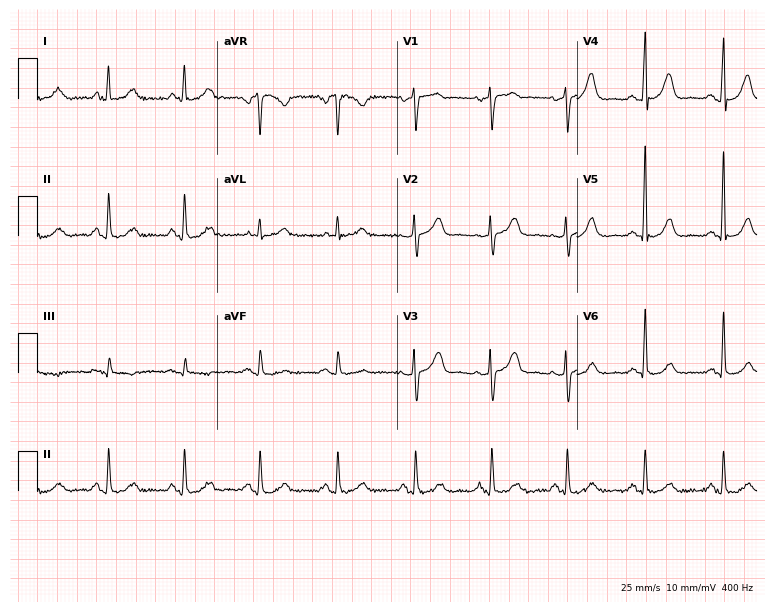
Standard 12-lead ECG recorded from a female patient, 33 years old (7.3-second recording at 400 Hz). Read as a normal ECG.